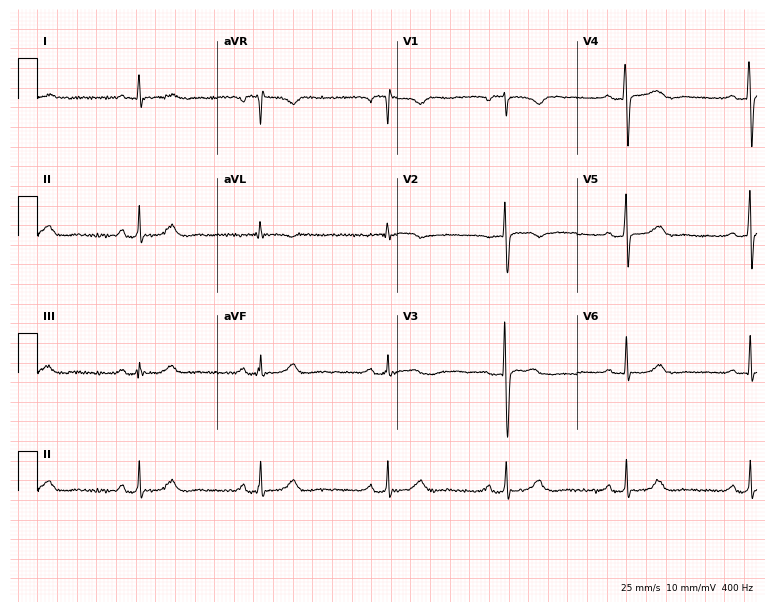
Electrocardiogram, a male, 53 years old. Interpretation includes sinus bradycardia (a sinus rate of 50 beats per minute or less).